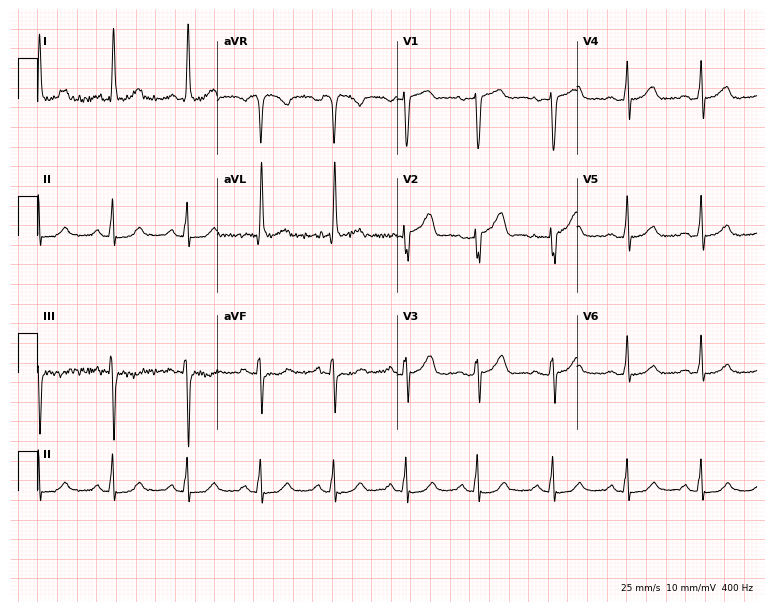
Standard 12-lead ECG recorded from a woman, 45 years old. Read as a normal ECG.